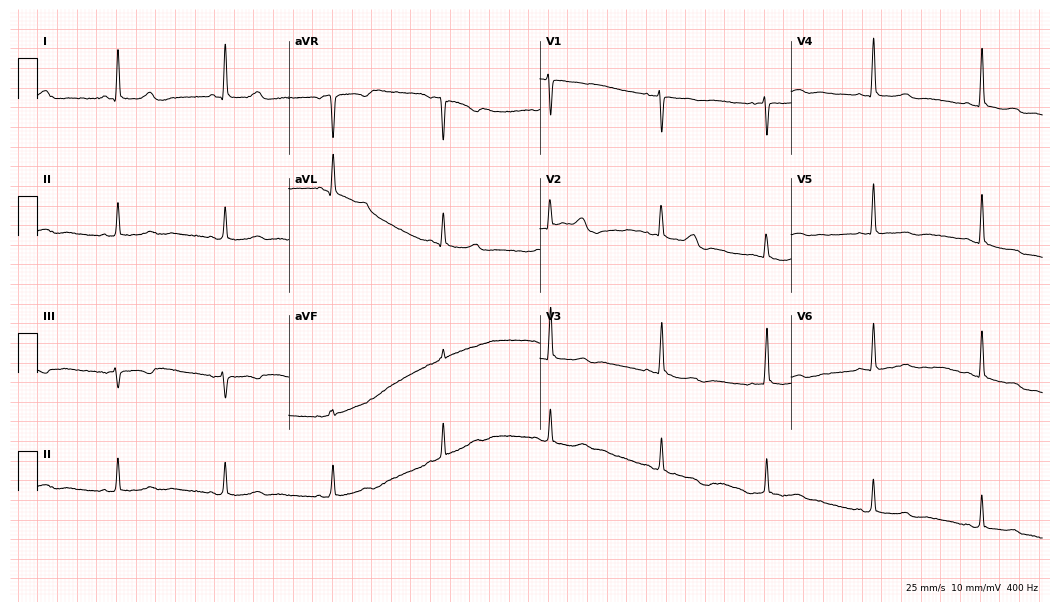
12-lead ECG from a female, 83 years old (10.2-second recording at 400 Hz). No first-degree AV block, right bundle branch block, left bundle branch block, sinus bradycardia, atrial fibrillation or sinus tachycardia recorded for this tracing.